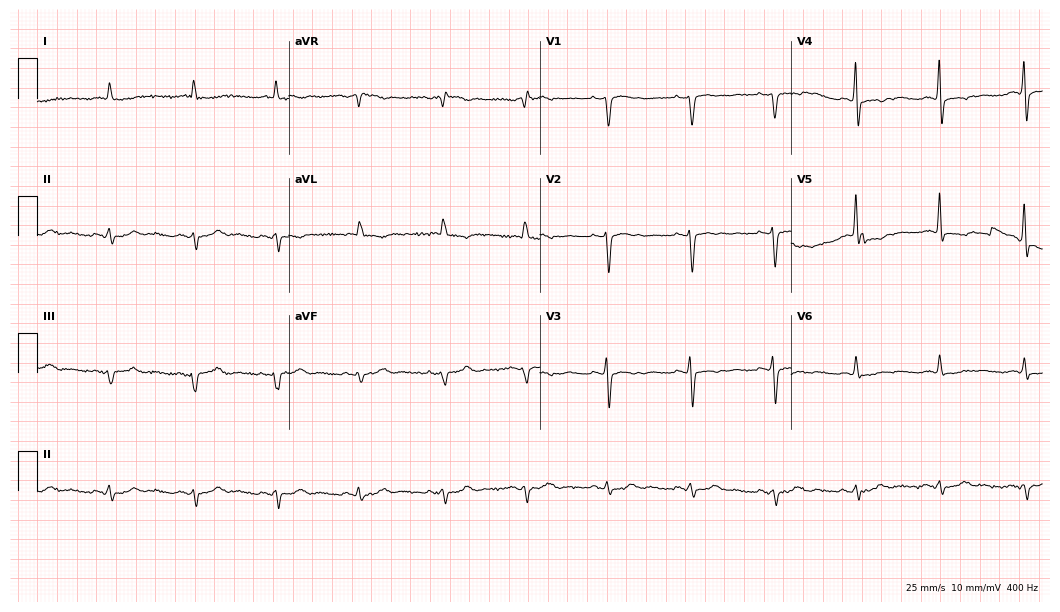
12-lead ECG from a female, 84 years old (10.2-second recording at 400 Hz). No first-degree AV block, right bundle branch block (RBBB), left bundle branch block (LBBB), sinus bradycardia, atrial fibrillation (AF) or sinus tachycardia recorded for this tracing. Other findings, if any, are not listed.